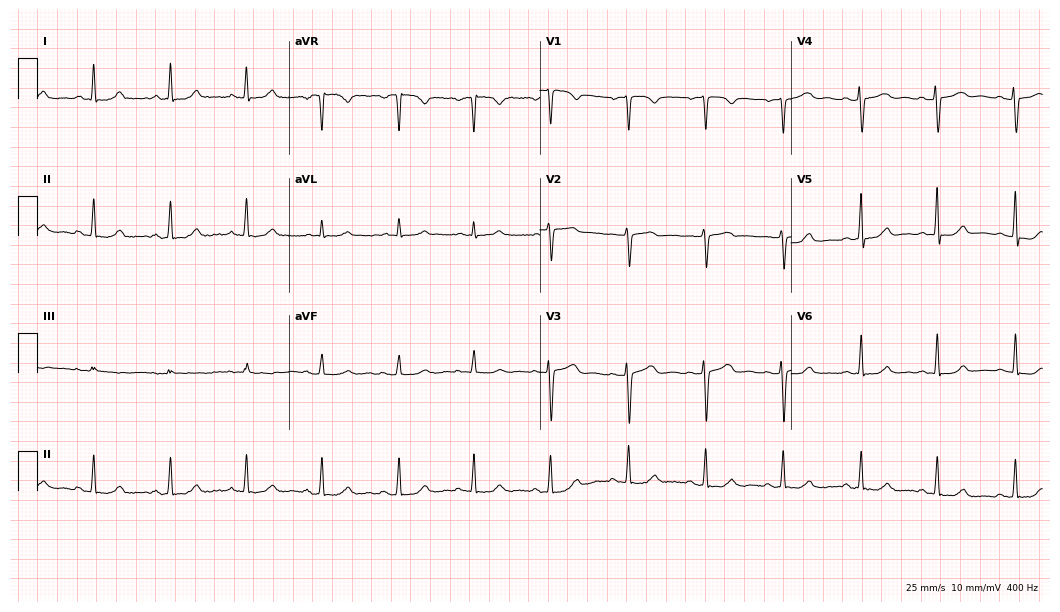
ECG — a 51-year-old female. Screened for six findings — first-degree AV block, right bundle branch block, left bundle branch block, sinus bradycardia, atrial fibrillation, sinus tachycardia — none is recorded. Findings outside these six are not listed.